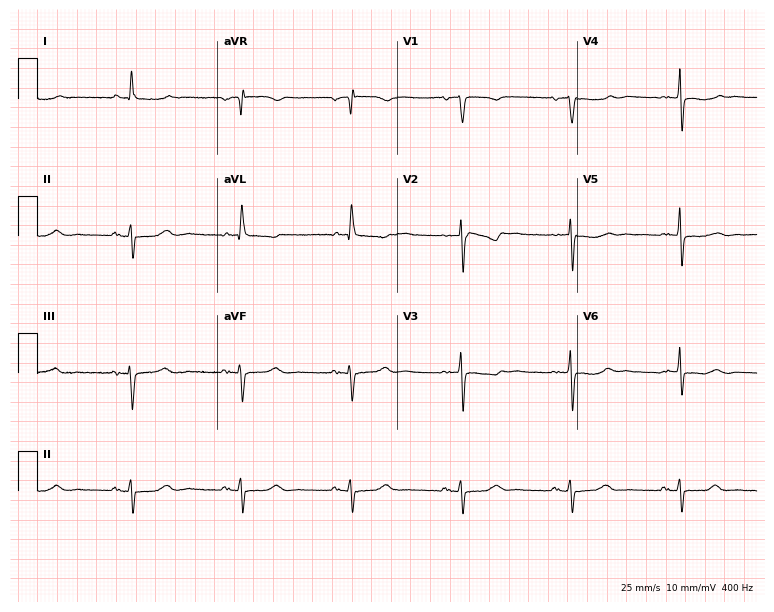
Electrocardiogram, a female, 72 years old. Of the six screened findings (first-degree AV block, right bundle branch block, left bundle branch block, sinus bradycardia, atrial fibrillation, sinus tachycardia), none is recorded. Only these six findings were labelled.